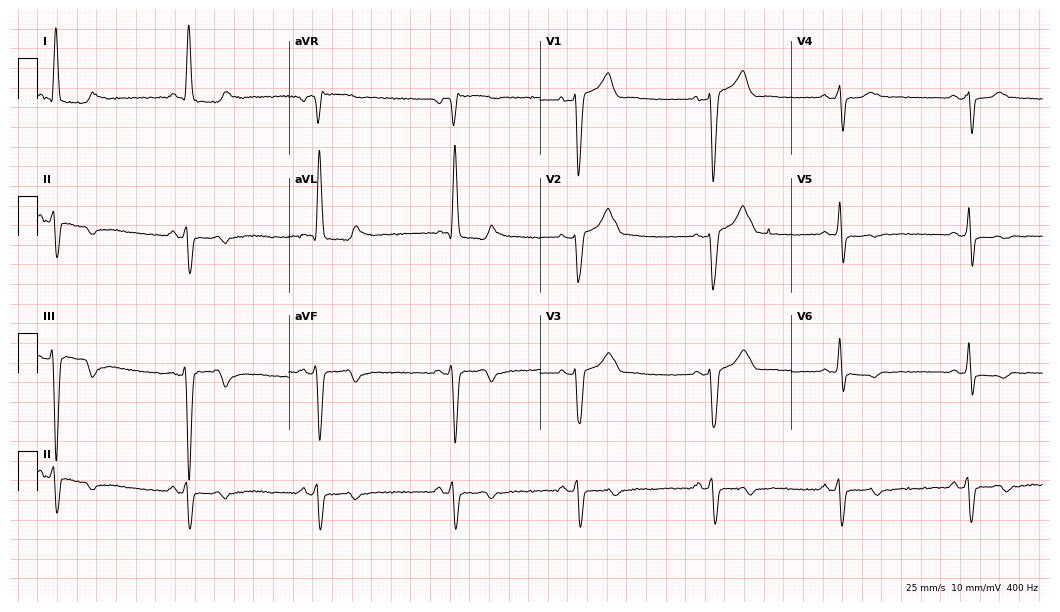
12-lead ECG from a 68-year-old female patient (10.2-second recording at 400 Hz). No first-degree AV block, right bundle branch block, left bundle branch block, sinus bradycardia, atrial fibrillation or sinus tachycardia recorded for this tracing.